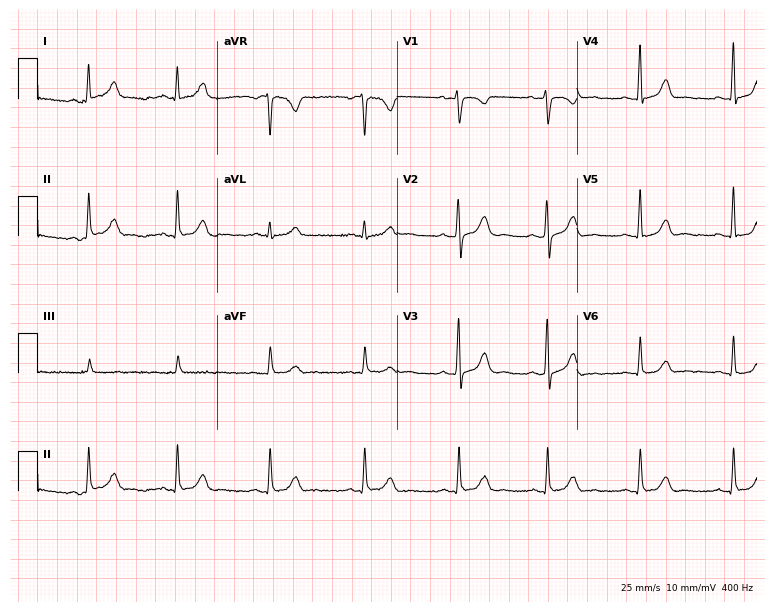
Resting 12-lead electrocardiogram (7.3-second recording at 400 Hz). Patient: a 34-year-old female. Read as a normal ECG.